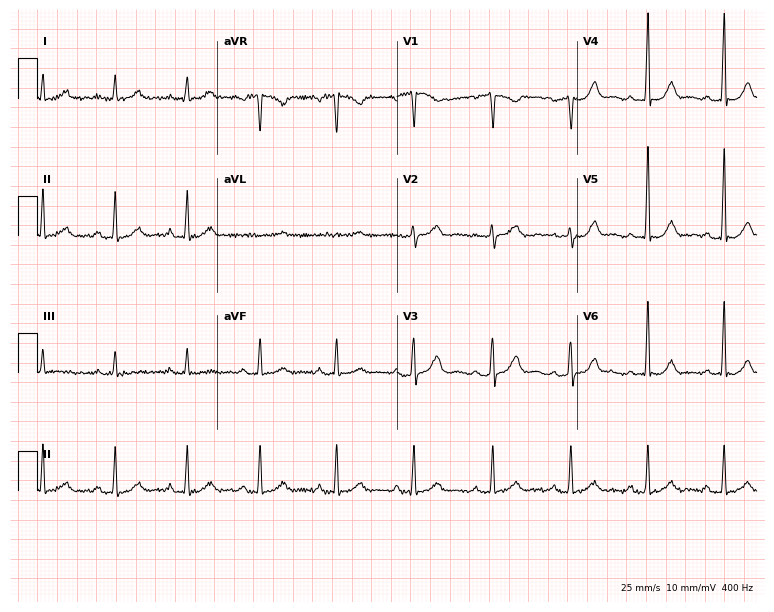
Resting 12-lead electrocardiogram. Patient: a 51-year-old female. Read as a normal ECG.